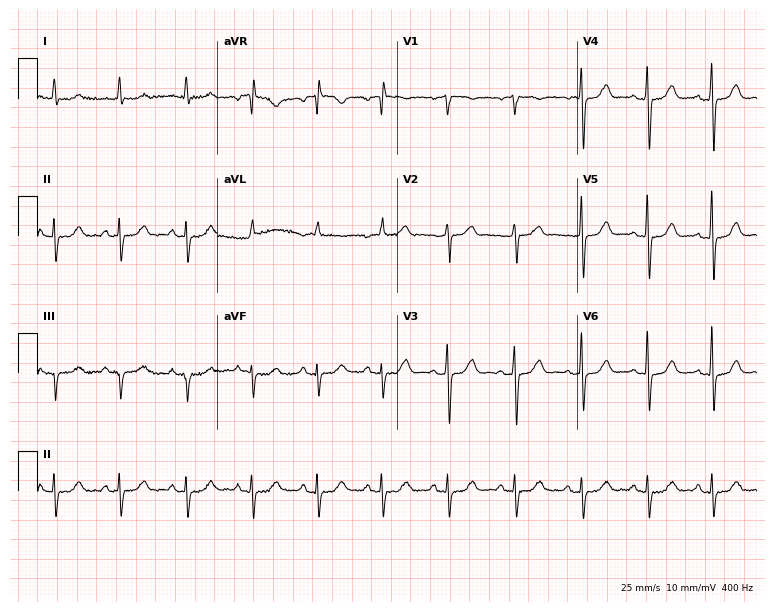
12-lead ECG from a 69-year-old woman (7.3-second recording at 400 Hz). No first-degree AV block, right bundle branch block (RBBB), left bundle branch block (LBBB), sinus bradycardia, atrial fibrillation (AF) or sinus tachycardia recorded for this tracing.